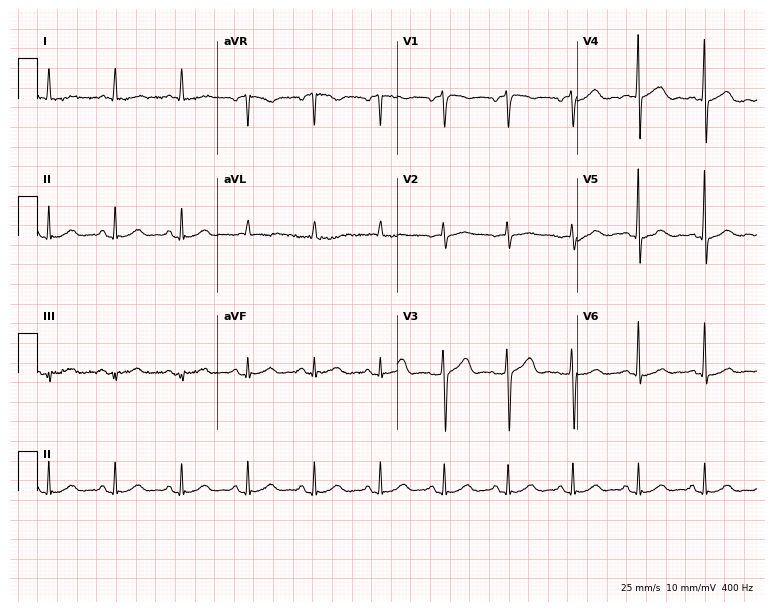
Standard 12-lead ECG recorded from a male, 63 years old. Read as a normal ECG.